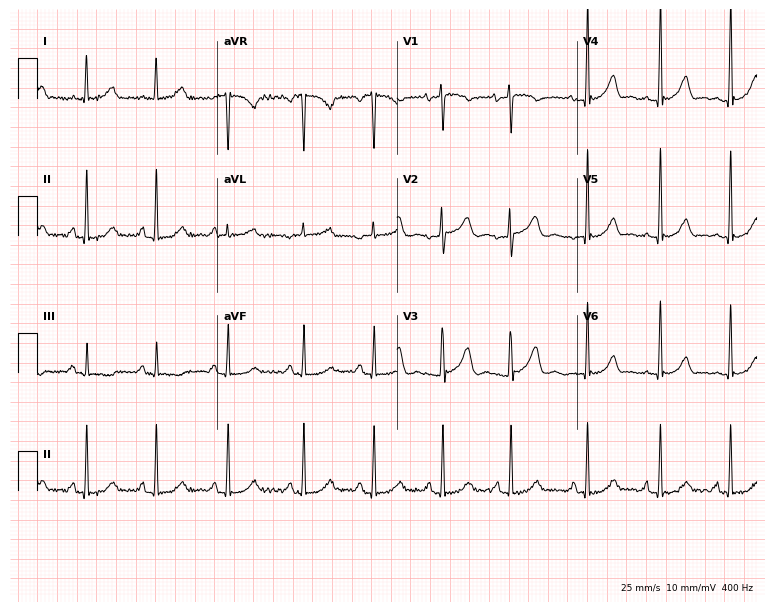
Standard 12-lead ECG recorded from a 30-year-old woman. Read as a normal ECG.